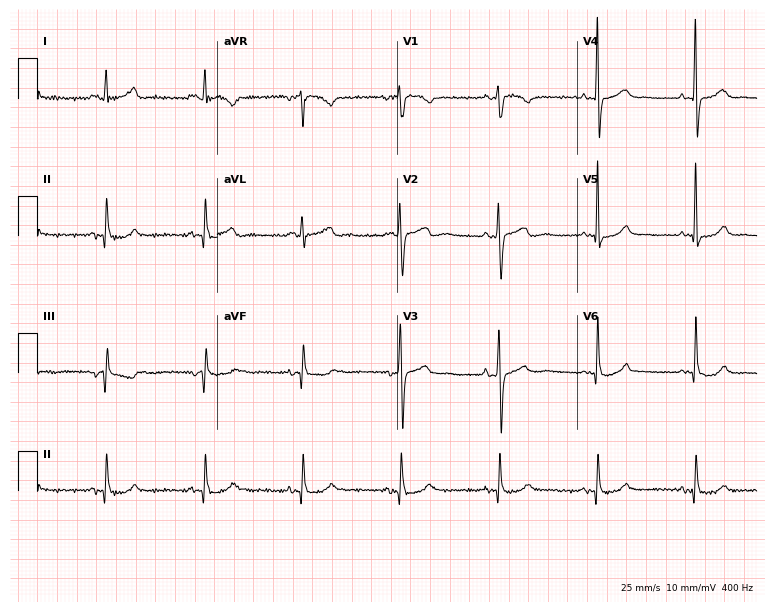
12-lead ECG from a 60-year-old female patient. Screened for six findings — first-degree AV block, right bundle branch block, left bundle branch block, sinus bradycardia, atrial fibrillation, sinus tachycardia — none is recorded. Only these six findings were labelled.